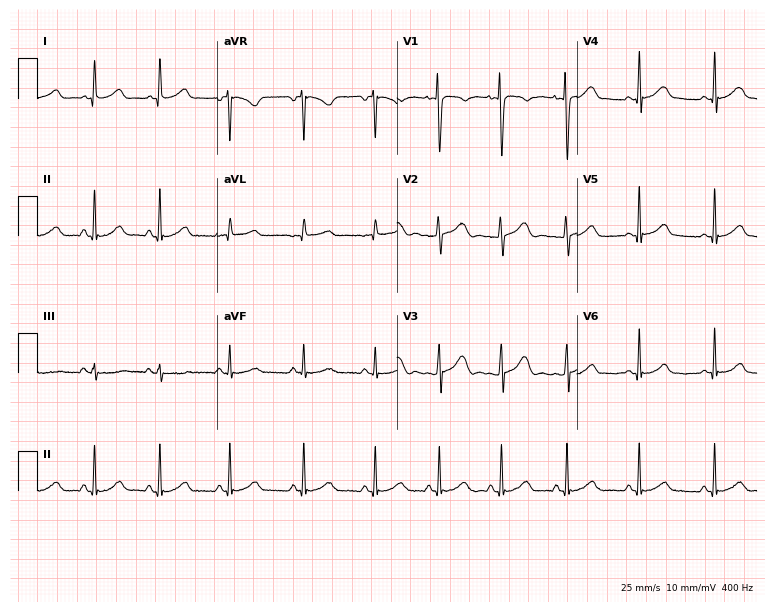
Resting 12-lead electrocardiogram (7.3-second recording at 400 Hz). Patient: a female, 19 years old. Read as a normal ECG.